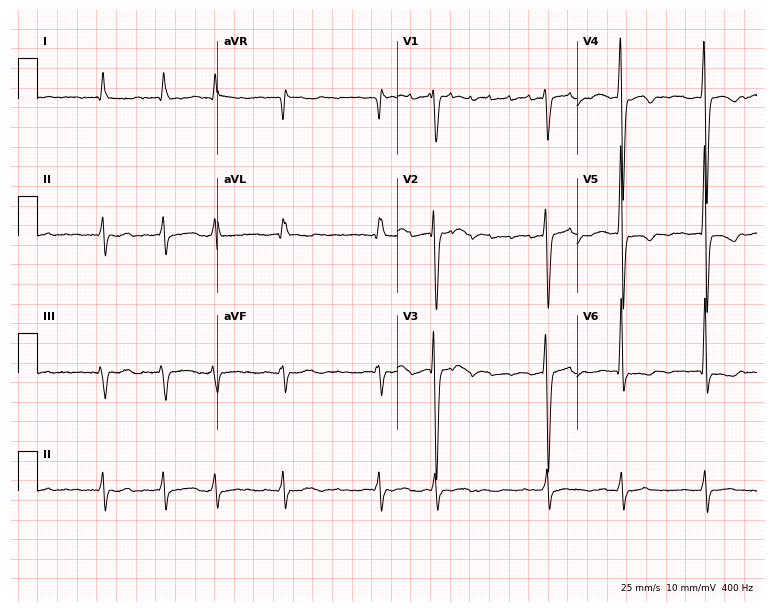
Standard 12-lead ECG recorded from a male, 61 years old (7.3-second recording at 400 Hz). The tracing shows atrial fibrillation.